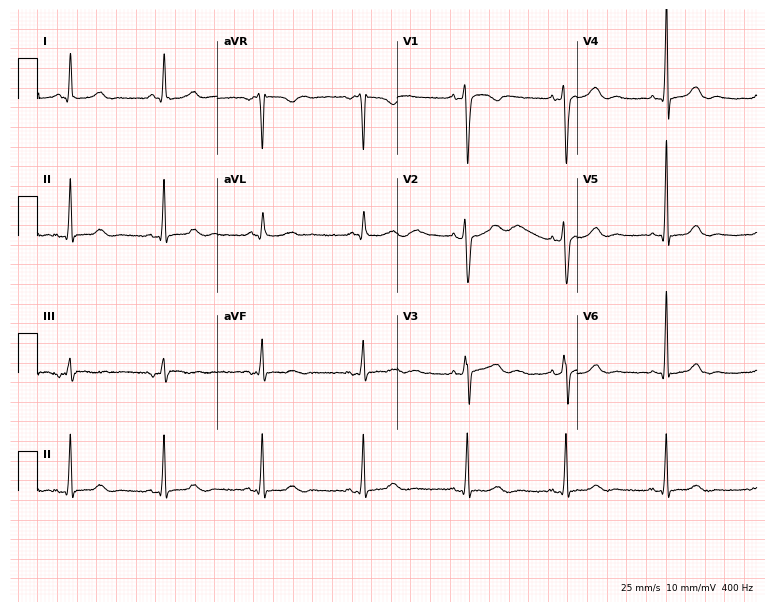
Electrocardiogram, a female, 46 years old. Overall reading on record: normal ECG.